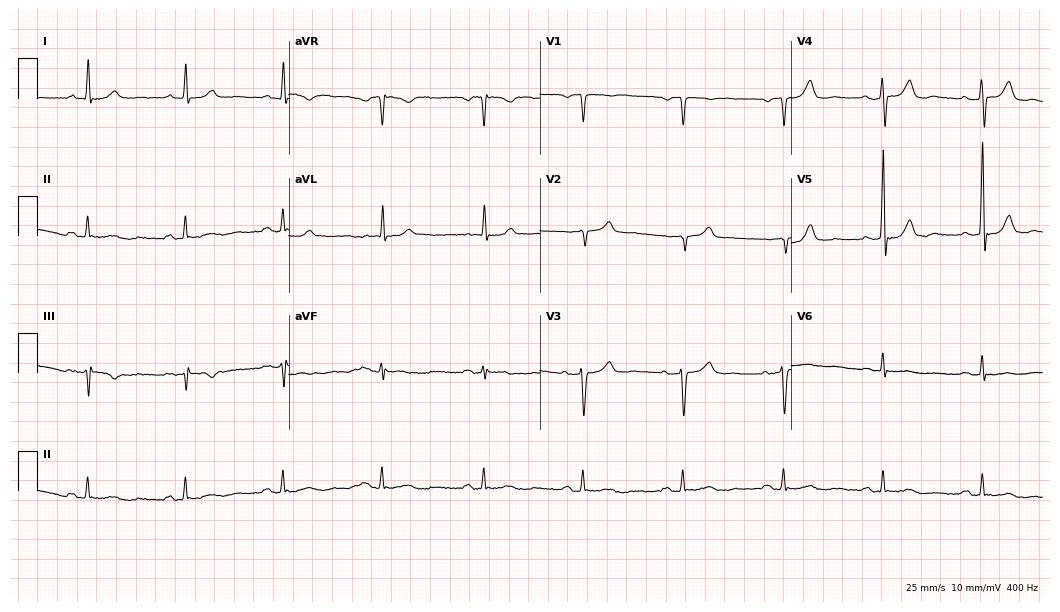
Electrocardiogram, a male patient, 72 years old. Overall reading on record: normal ECG.